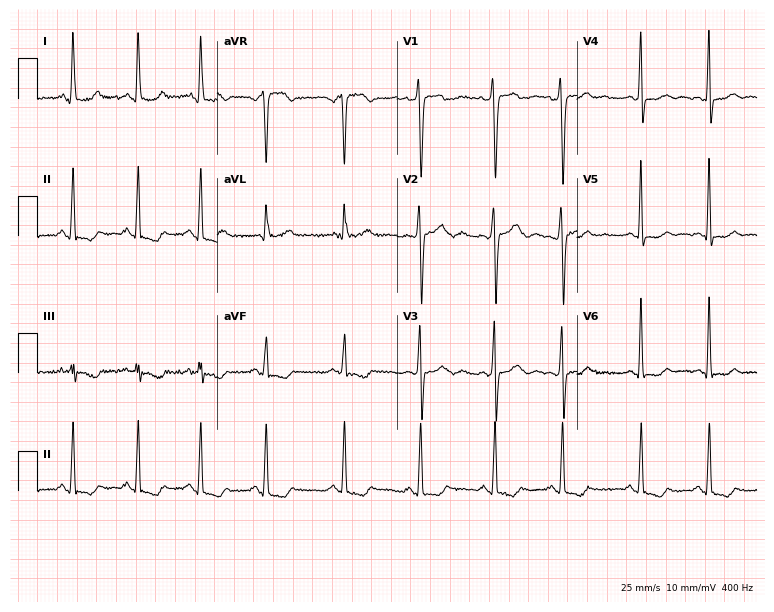
12-lead ECG (7.3-second recording at 400 Hz) from a female, 27 years old. Screened for six findings — first-degree AV block, right bundle branch block, left bundle branch block, sinus bradycardia, atrial fibrillation, sinus tachycardia — none is recorded.